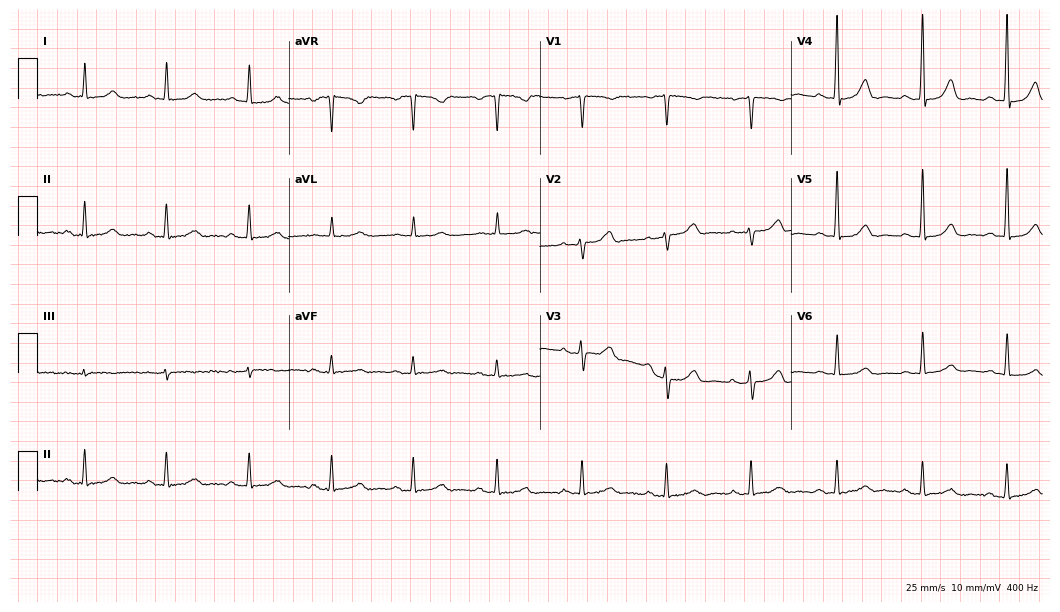
Resting 12-lead electrocardiogram. Patient: a woman, 63 years old. Read as a normal ECG.